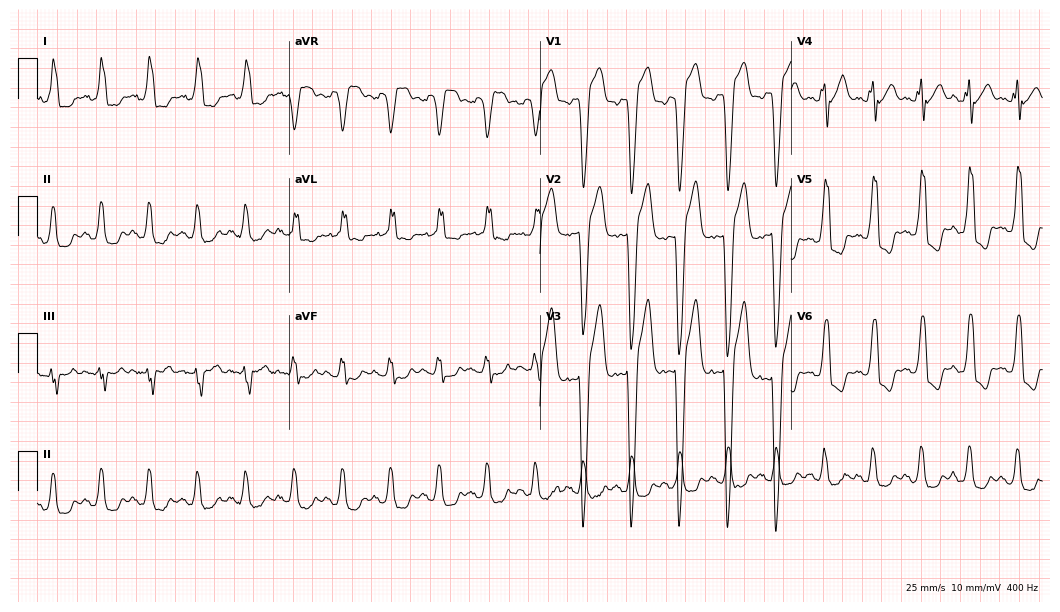
Electrocardiogram (10.2-second recording at 400 Hz), a female, 76 years old. Interpretation includes left bundle branch block (LBBB), sinus tachycardia (a sinus rate of 100 beats per minute or more).